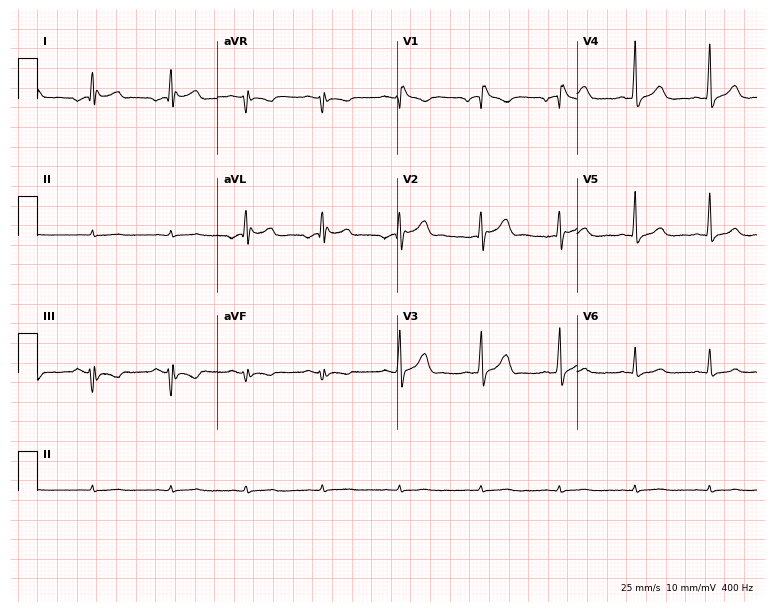
12-lead ECG from a male patient, 39 years old. Screened for six findings — first-degree AV block, right bundle branch block, left bundle branch block, sinus bradycardia, atrial fibrillation, sinus tachycardia — none is recorded.